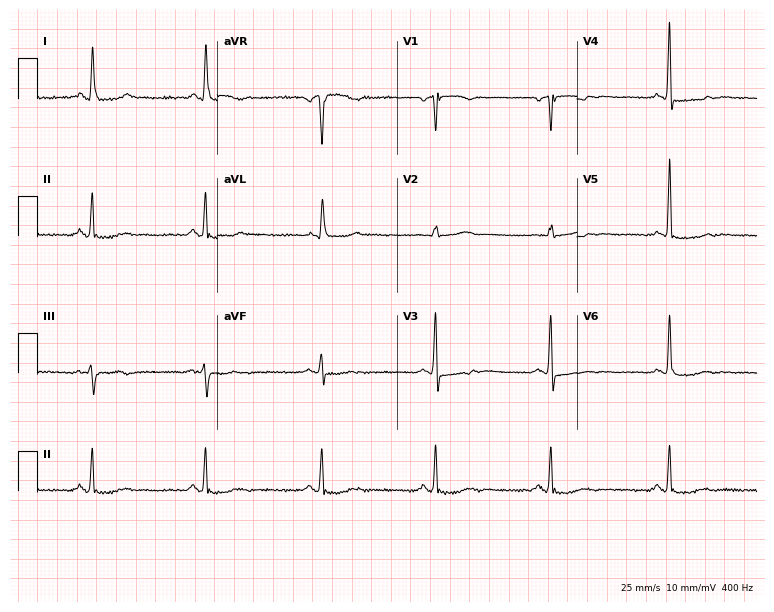
12-lead ECG (7.3-second recording at 400 Hz) from a female, 65 years old. Screened for six findings — first-degree AV block, right bundle branch block, left bundle branch block, sinus bradycardia, atrial fibrillation, sinus tachycardia — none is recorded. Findings outside these six are not listed.